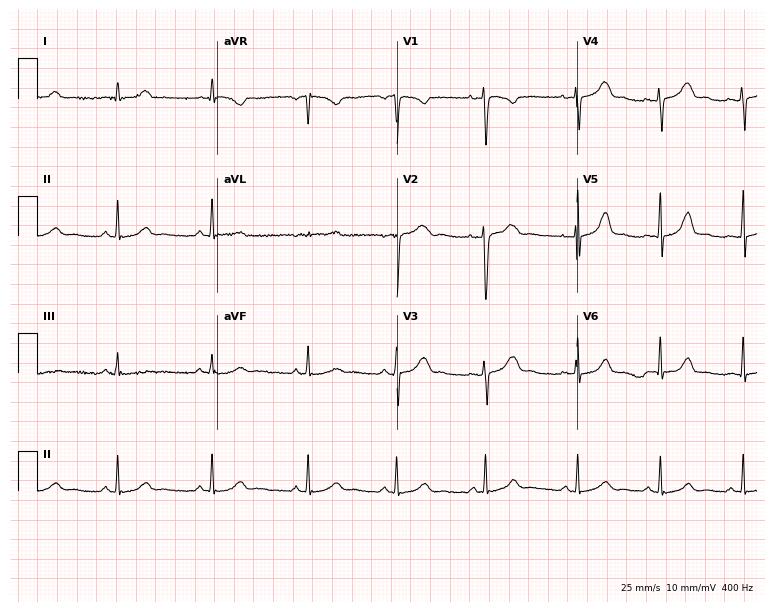
12-lead ECG (7.3-second recording at 400 Hz) from a female patient, 24 years old. Screened for six findings — first-degree AV block, right bundle branch block, left bundle branch block, sinus bradycardia, atrial fibrillation, sinus tachycardia — none is recorded.